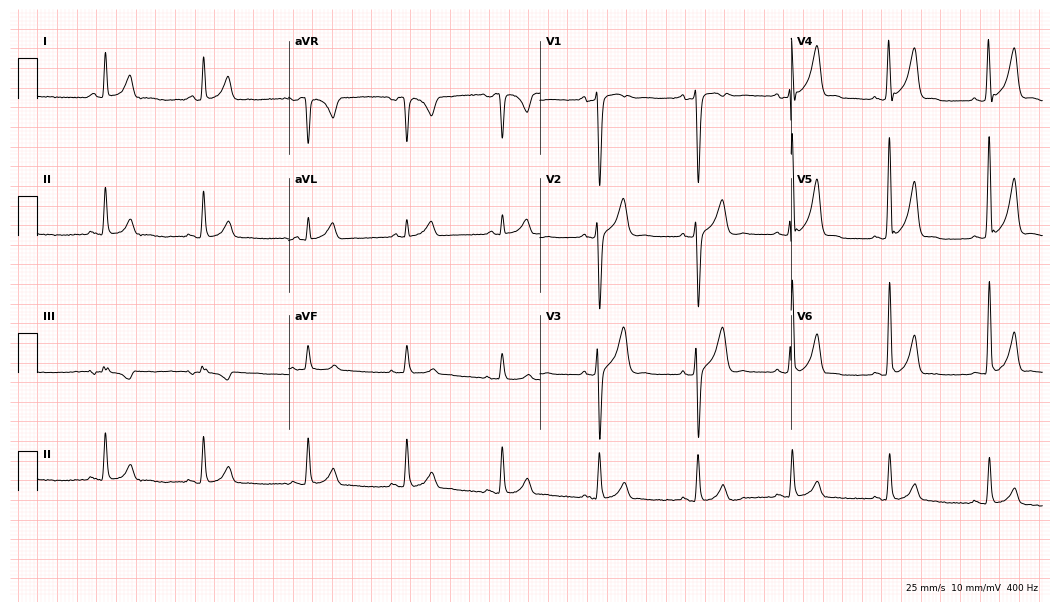
12-lead ECG from a male patient, 39 years old (10.2-second recording at 400 Hz). No first-degree AV block, right bundle branch block, left bundle branch block, sinus bradycardia, atrial fibrillation or sinus tachycardia recorded for this tracing.